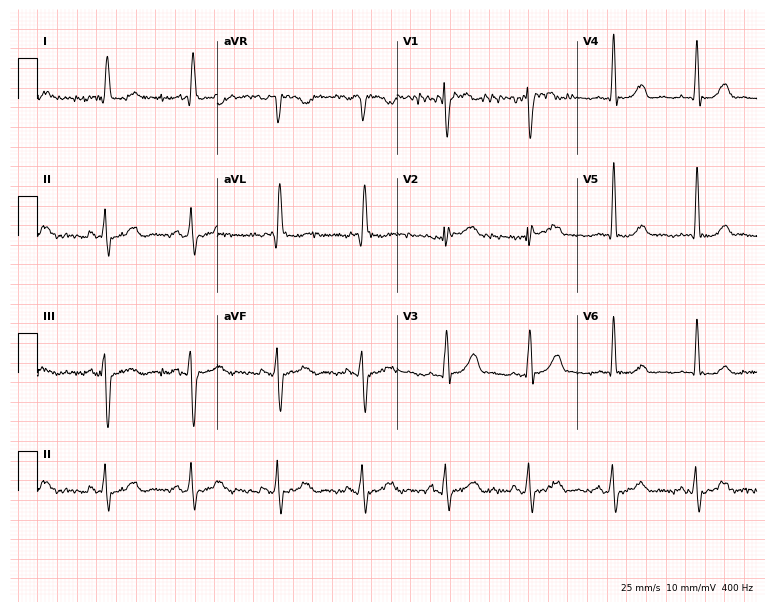
Standard 12-lead ECG recorded from a 79-year-old male patient (7.3-second recording at 400 Hz). None of these six findings is recorded: first-degree AV block, right bundle branch block (RBBB), left bundle branch block (LBBB), sinus bradycardia, atrial fibrillation (AF), sinus tachycardia. Findings outside these six are not listed.